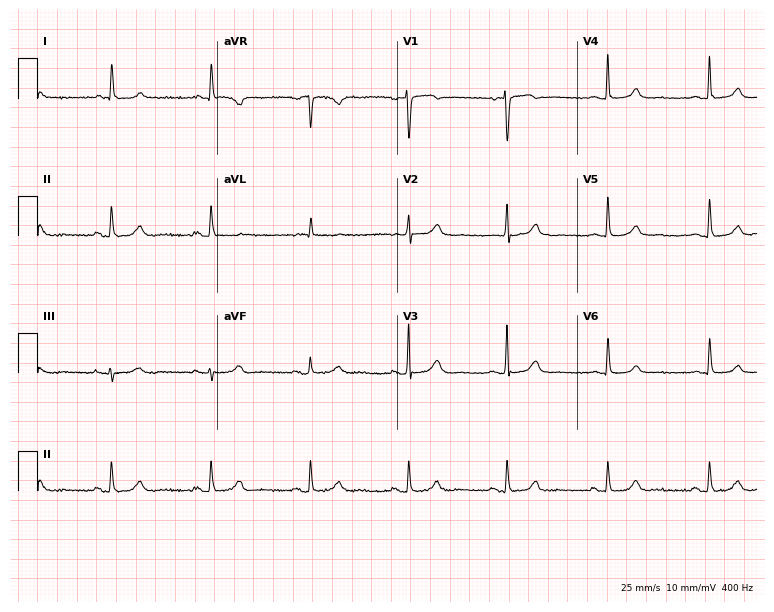
Resting 12-lead electrocardiogram (7.3-second recording at 400 Hz). Patient: a female, 88 years old. Read as a normal ECG.